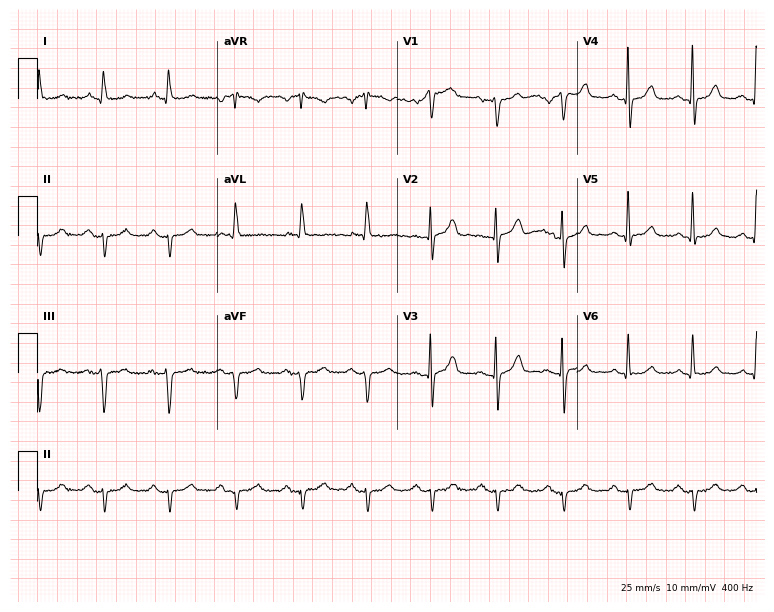
Standard 12-lead ECG recorded from a 66-year-old male patient. None of these six findings is recorded: first-degree AV block, right bundle branch block (RBBB), left bundle branch block (LBBB), sinus bradycardia, atrial fibrillation (AF), sinus tachycardia.